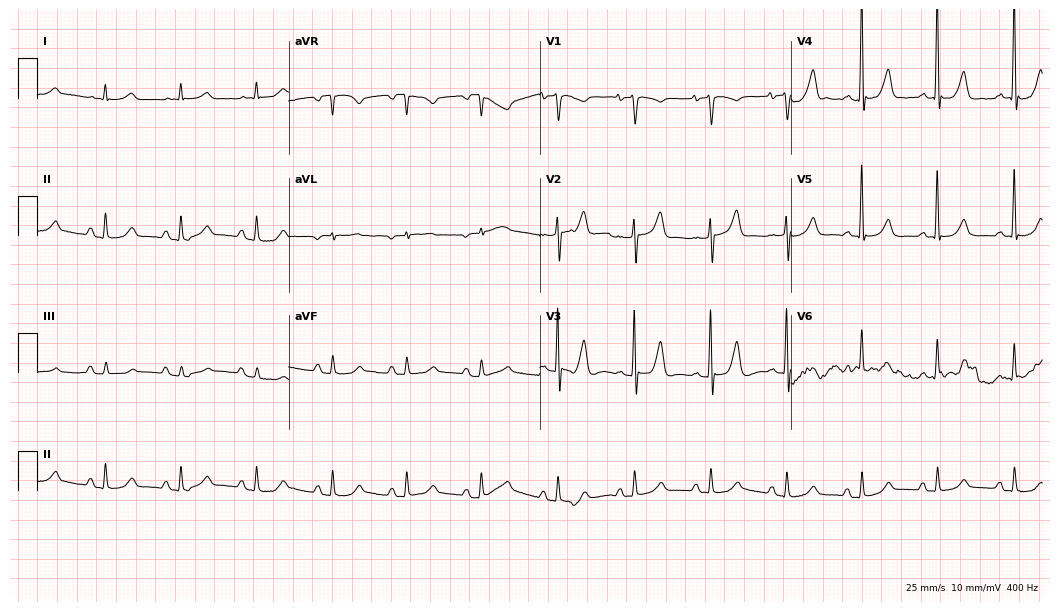
Standard 12-lead ECG recorded from a woman, 79 years old. Read as a normal ECG.